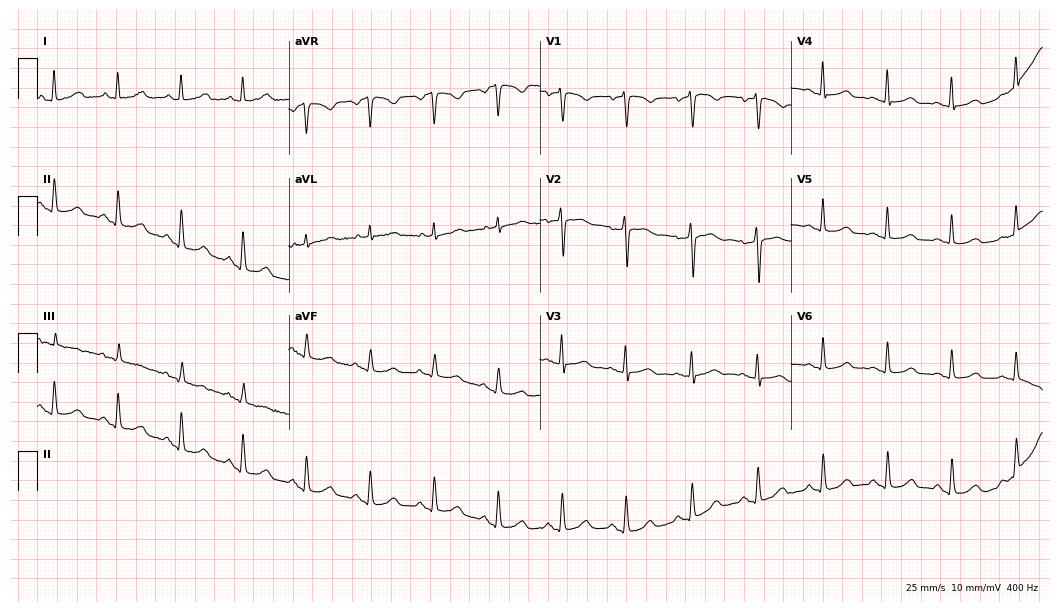
Standard 12-lead ECG recorded from a 48-year-old female (10.2-second recording at 400 Hz). Read as a normal ECG.